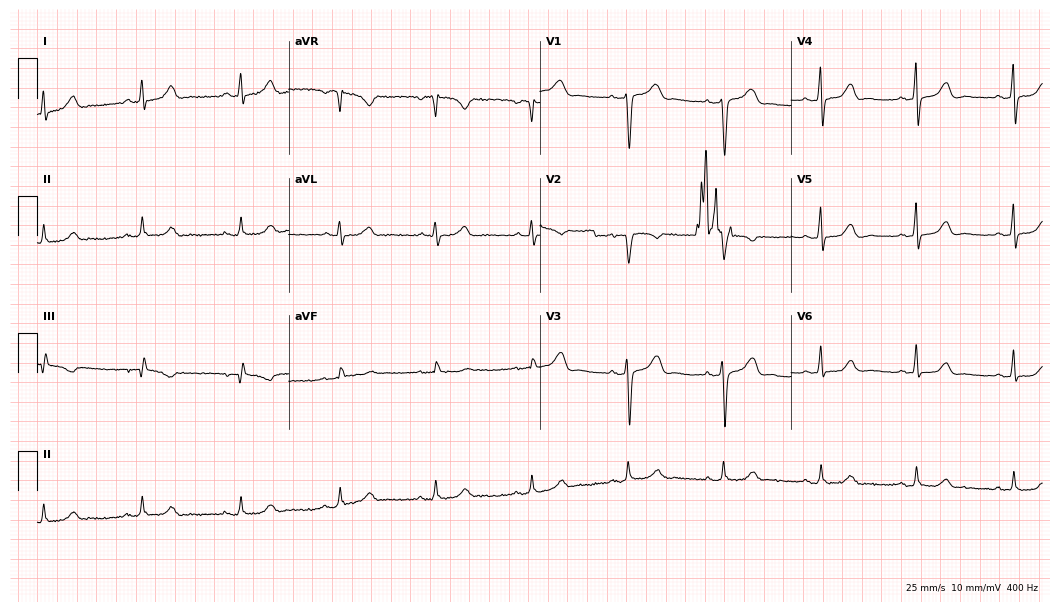
Standard 12-lead ECG recorded from a female patient, 66 years old (10.2-second recording at 400 Hz). Read as a normal ECG.